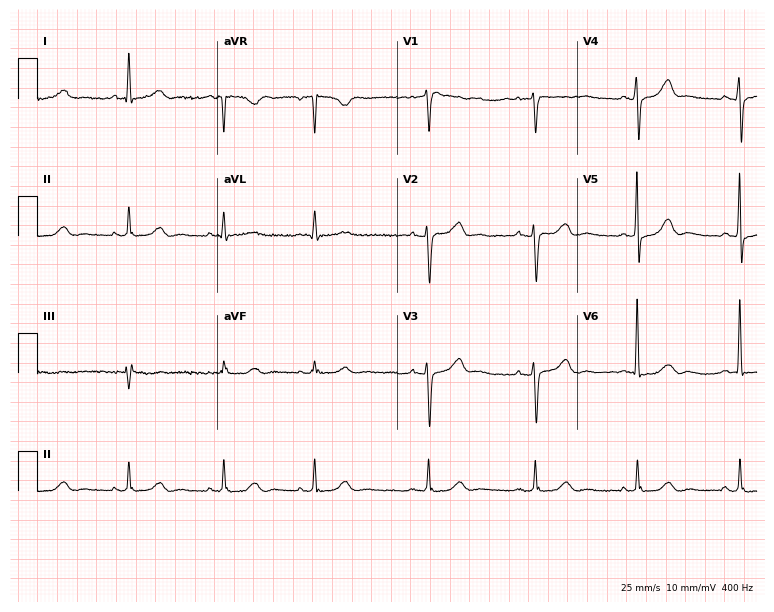
ECG (7.3-second recording at 400 Hz) — a woman, 61 years old. Screened for six findings — first-degree AV block, right bundle branch block, left bundle branch block, sinus bradycardia, atrial fibrillation, sinus tachycardia — none is recorded. Only these six findings were labelled.